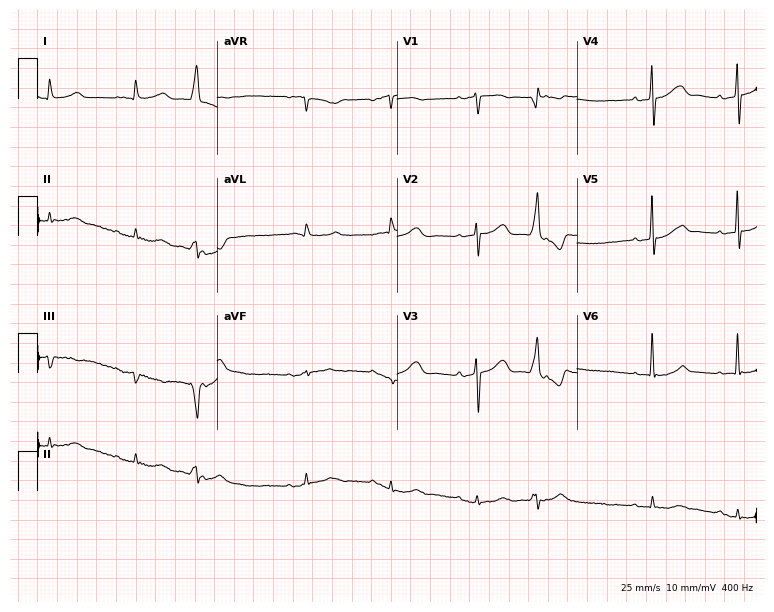
12-lead ECG from an 82-year-old male patient. Screened for six findings — first-degree AV block, right bundle branch block, left bundle branch block, sinus bradycardia, atrial fibrillation, sinus tachycardia — none is recorded.